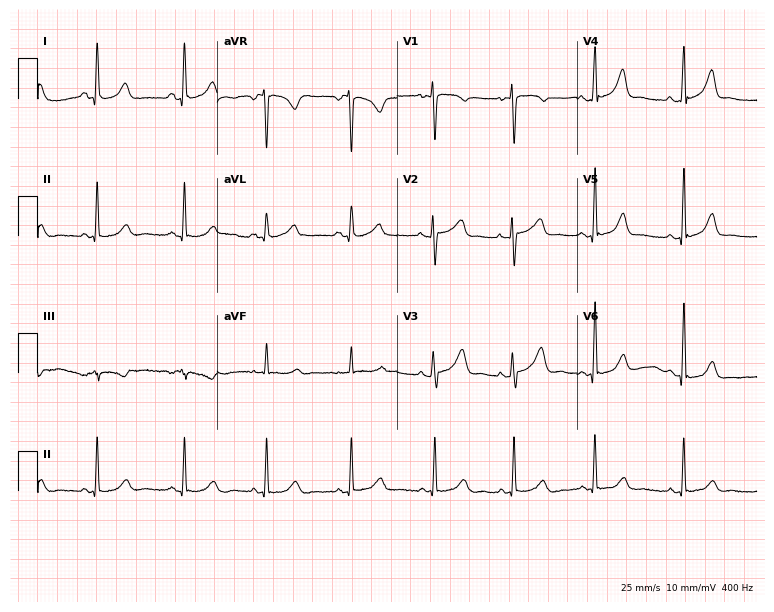
Standard 12-lead ECG recorded from a female patient, 38 years old (7.3-second recording at 400 Hz). None of these six findings is recorded: first-degree AV block, right bundle branch block, left bundle branch block, sinus bradycardia, atrial fibrillation, sinus tachycardia.